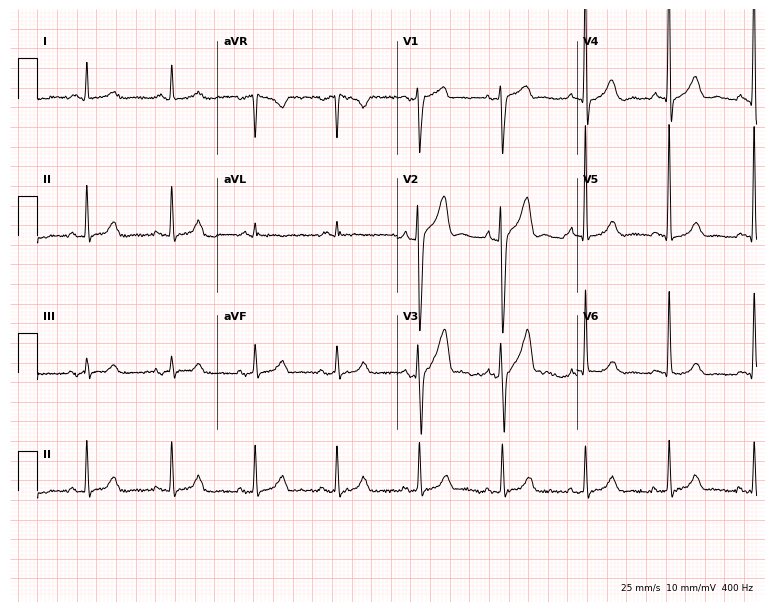
12-lead ECG (7.3-second recording at 400 Hz) from a 72-year-old male. Screened for six findings — first-degree AV block, right bundle branch block, left bundle branch block, sinus bradycardia, atrial fibrillation, sinus tachycardia — none is recorded. Other findings, if any, are not listed.